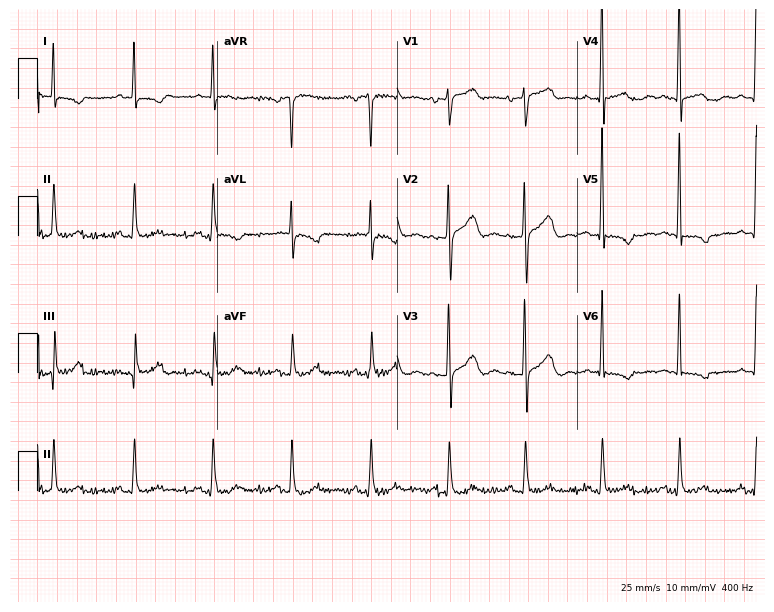
12-lead ECG from a 70-year-old female (7.3-second recording at 400 Hz). No first-degree AV block, right bundle branch block, left bundle branch block, sinus bradycardia, atrial fibrillation or sinus tachycardia recorded for this tracing.